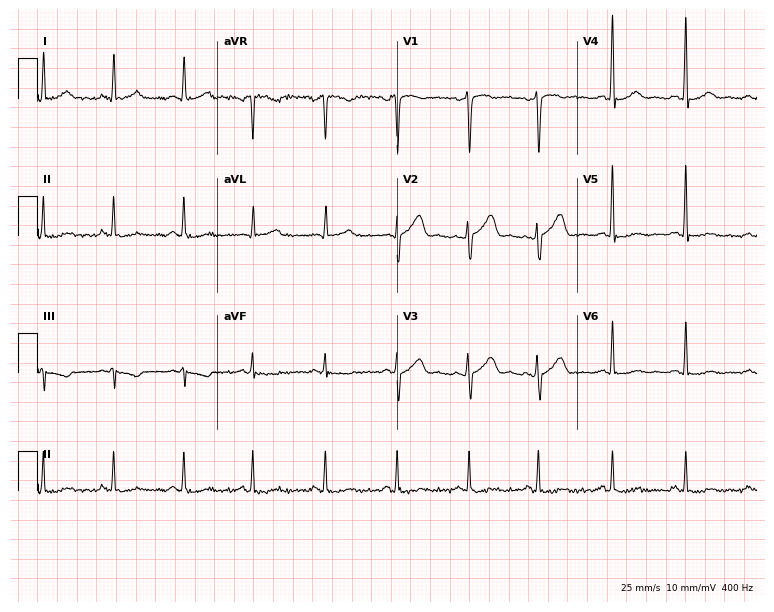
Standard 12-lead ECG recorded from a male, 44 years old. Read as a normal ECG.